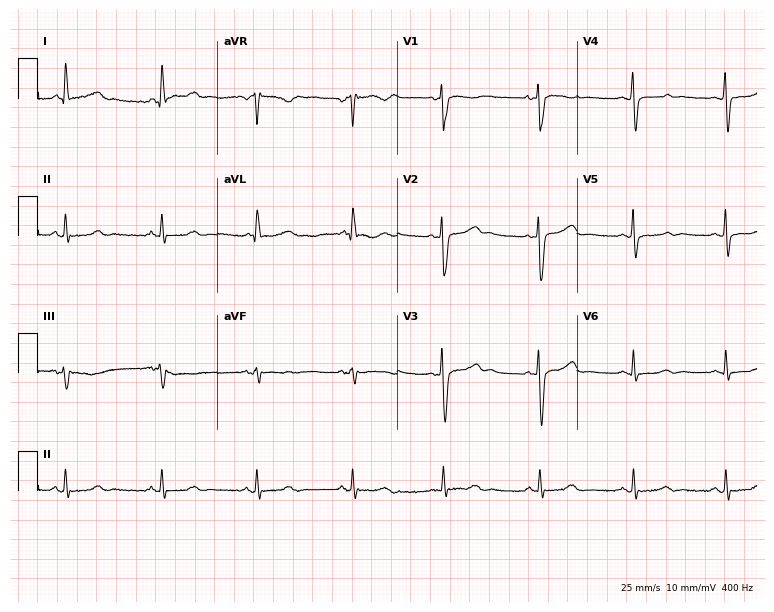
12-lead ECG from a 67-year-old woman (7.3-second recording at 400 Hz). Recorded interpretation: within normal limits.